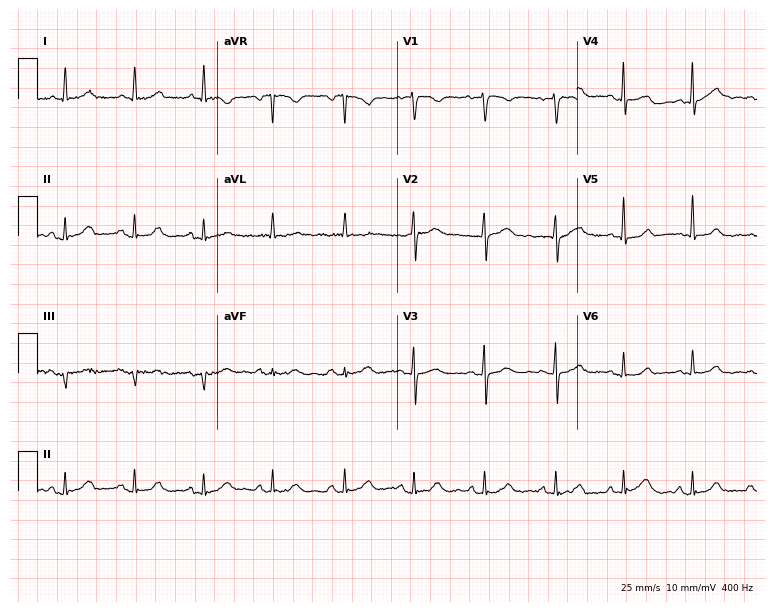
12-lead ECG from a woman, 65 years old. Screened for six findings — first-degree AV block, right bundle branch block, left bundle branch block, sinus bradycardia, atrial fibrillation, sinus tachycardia — none is recorded.